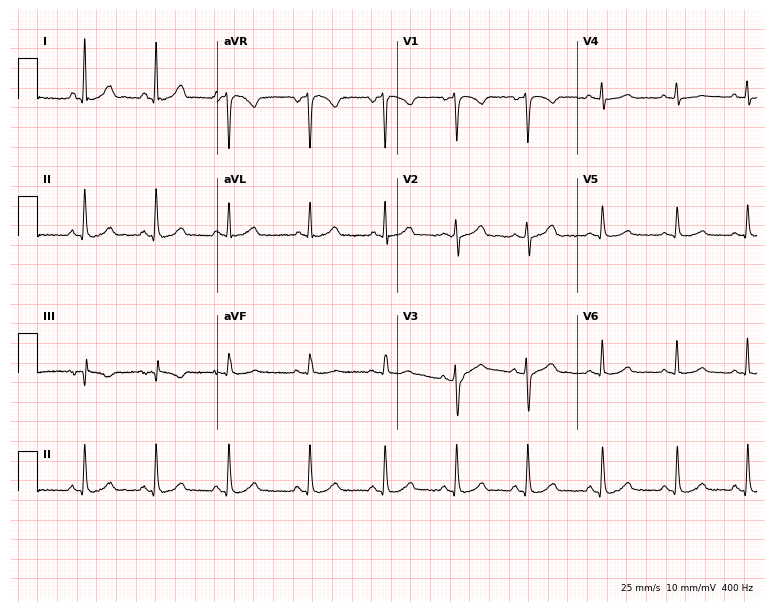
Standard 12-lead ECG recorded from a woman, 39 years old (7.3-second recording at 400 Hz). Read as a normal ECG.